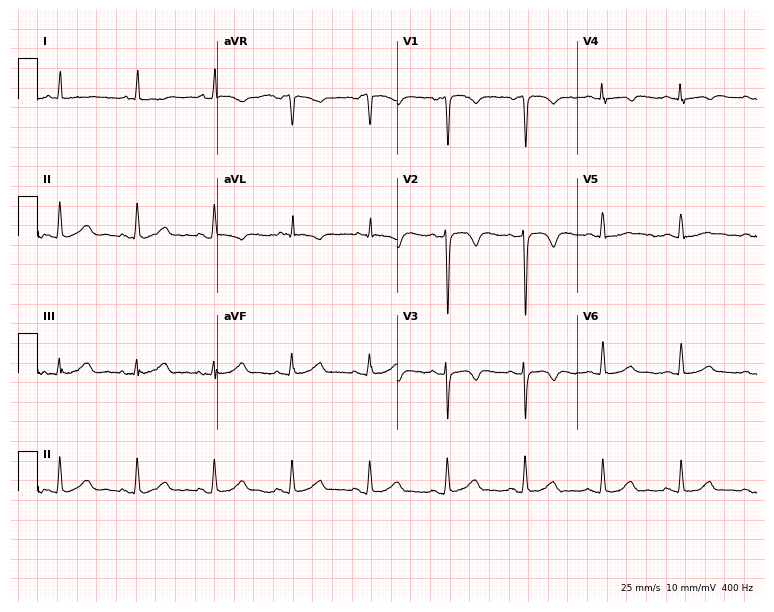
Resting 12-lead electrocardiogram (7.3-second recording at 400 Hz). Patient: a 67-year-old man. None of these six findings is recorded: first-degree AV block, right bundle branch block, left bundle branch block, sinus bradycardia, atrial fibrillation, sinus tachycardia.